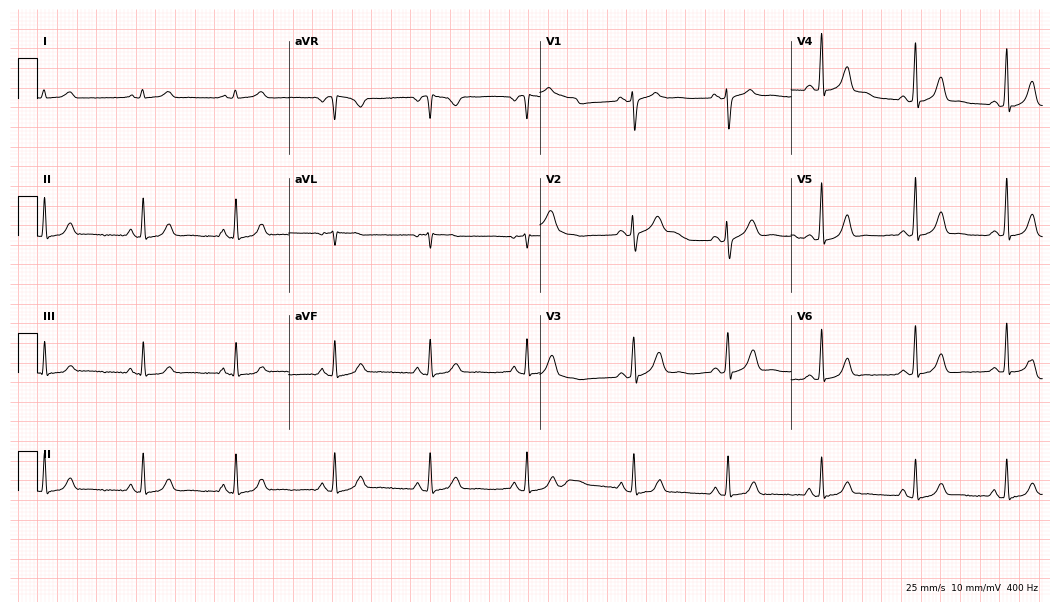
12-lead ECG (10.2-second recording at 400 Hz) from a 37-year-old female. Labelled as a normal ECG.